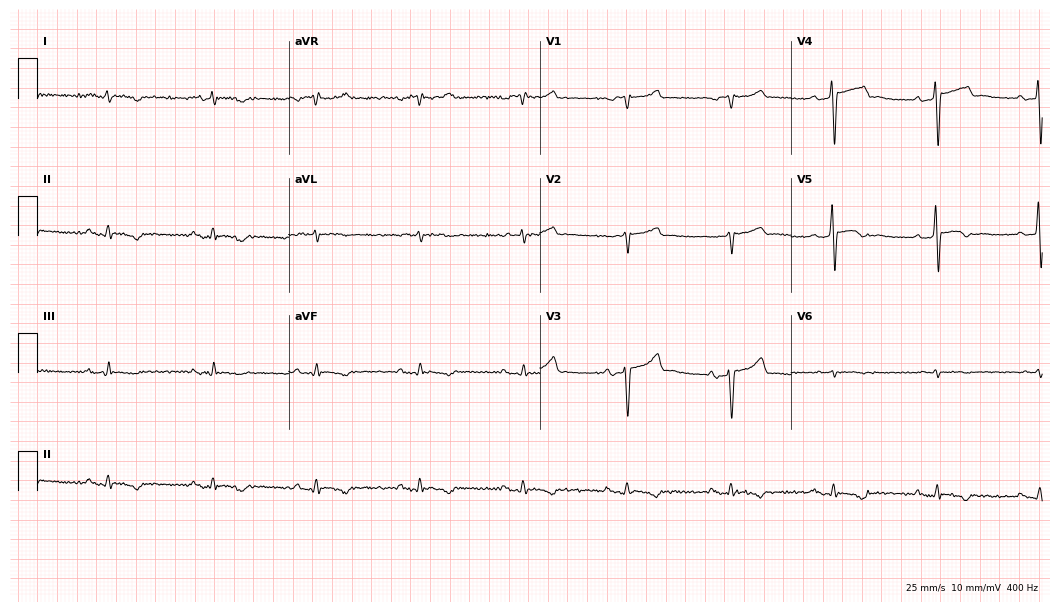
Electrocardiogram (10.2-second recording at 400 Hz), a 62-year-old male patient. Of the six screened findings (first-degree AV block, right bundle branch block, left bundle branch block, sinus bradycardia, atrial fibrillation, sinus tachycardia), none is recorded.